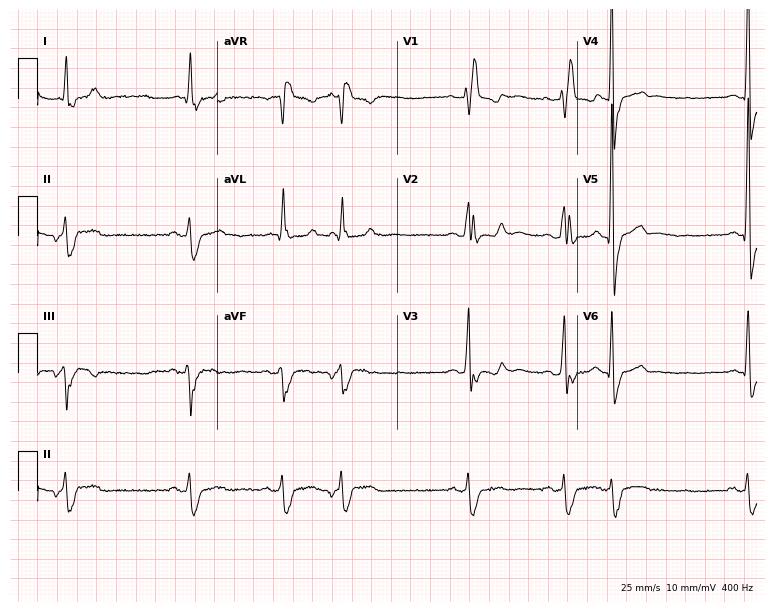
Electrocardiogram (7.3-second recording at 400 Hz), a 68-year-old man. Interpretation includes right bundle branch block.